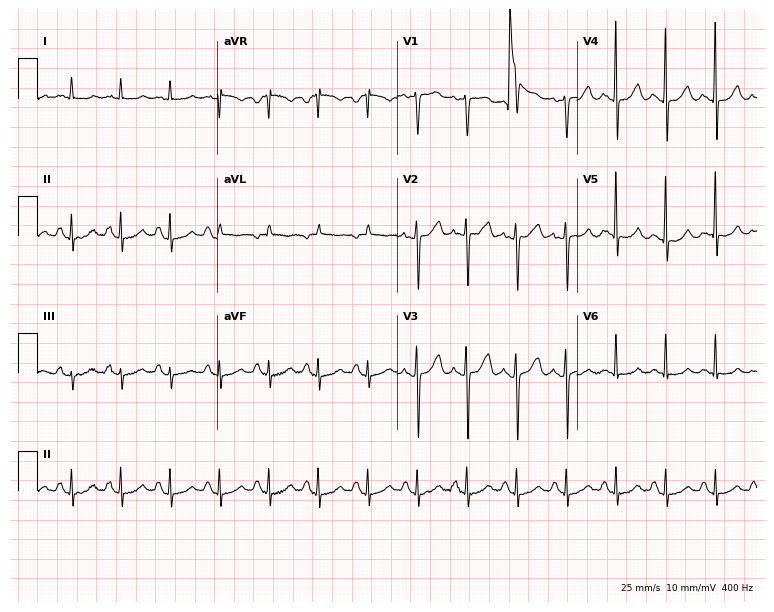
Electrocardiogram (7.3-second recording at 400 Hz), a woman, 73 years old. Interpretation includes sinus tachycardia (a sinus rate of 100 beats per minute or more).